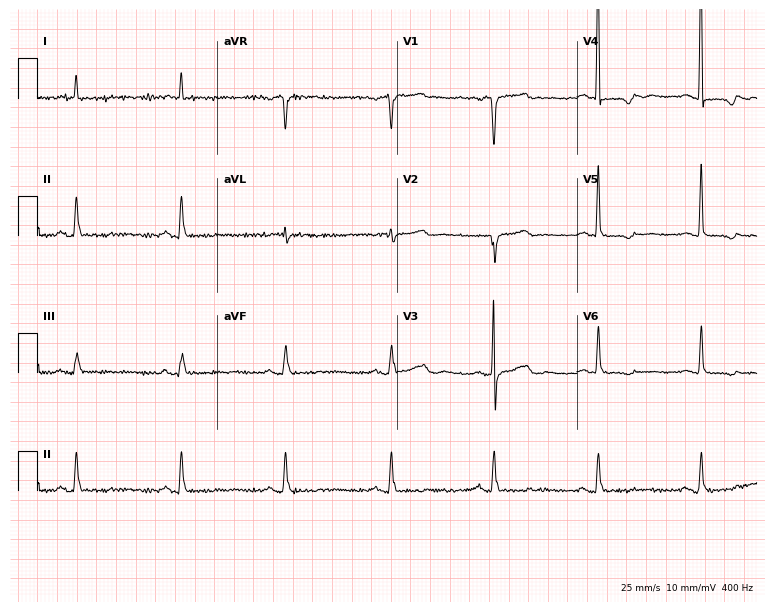
12-lead ECG from a 78-year-old woman (7.3-second recording at 400 Hz). No first-degree AV block, right bundle branch block, left bundle branch block, sinus bradycardia, atrial fibrillation or sinus tachycardia recorded for this tracing.